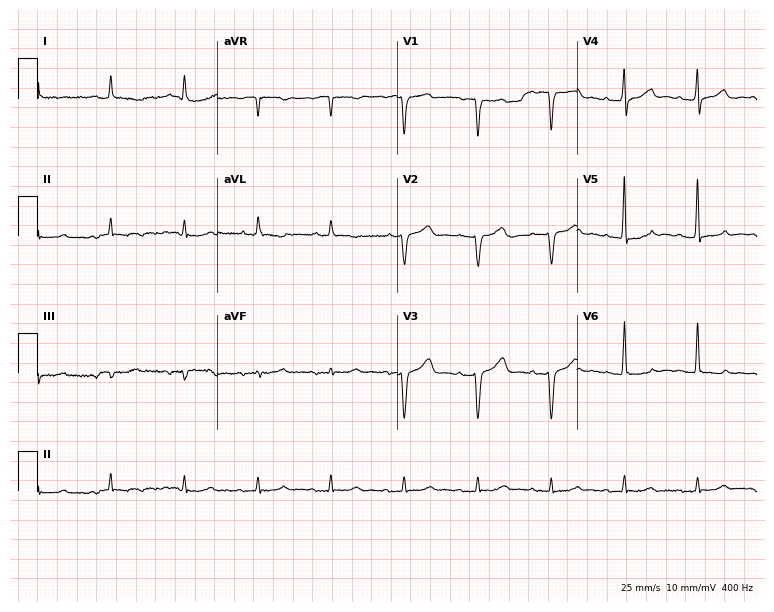
Electrocardiogram, an 82-year-old male patient. Of the six screened findings (first-degree AV block, right bundle branch block, left bundle branch block, sinus bradycardia, atrial fibrillation, sinus tachycardia), none is recorded. Only these six findings were labelled.